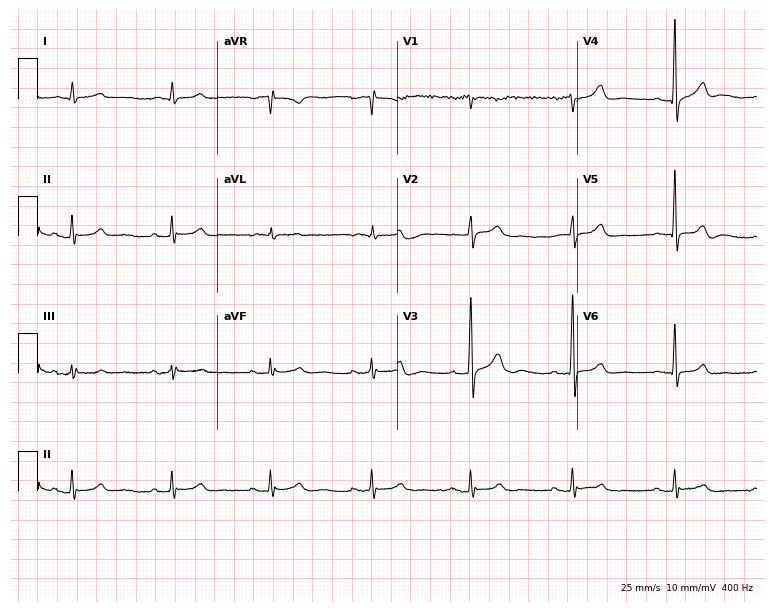
12-lead ECG from a 76-year-old male. Recorded interpretation: within normal limits.